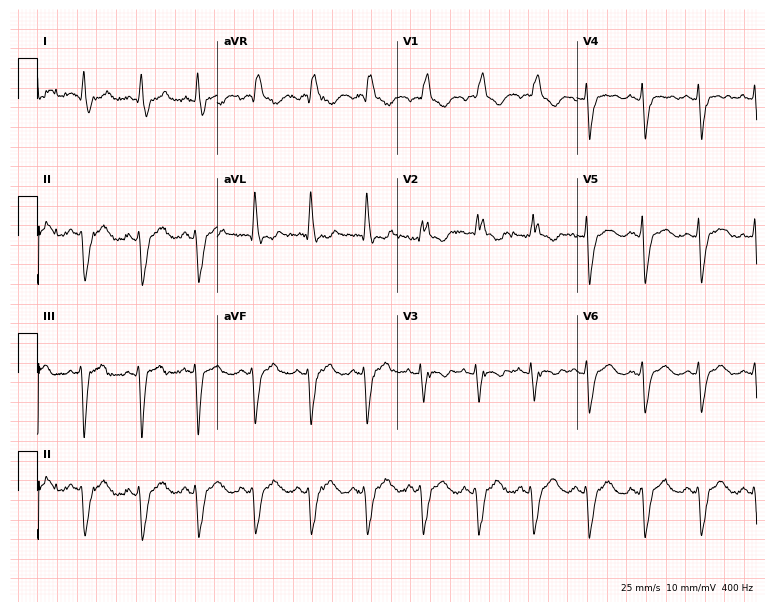
12-lead ECG from a 50-year-old woman. Findings include right bundle branch block, sinus tachycardia (a sinus rate of 100 beats per minute or more).